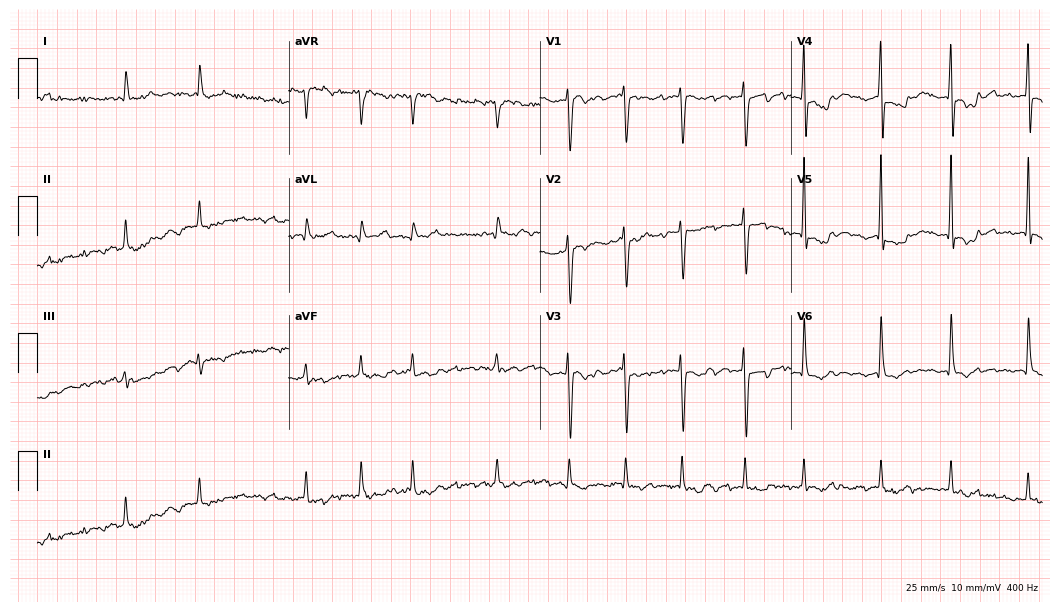
Electrocardiogram, an 85-year-old female. Interpretation includes atrial fibrillation.